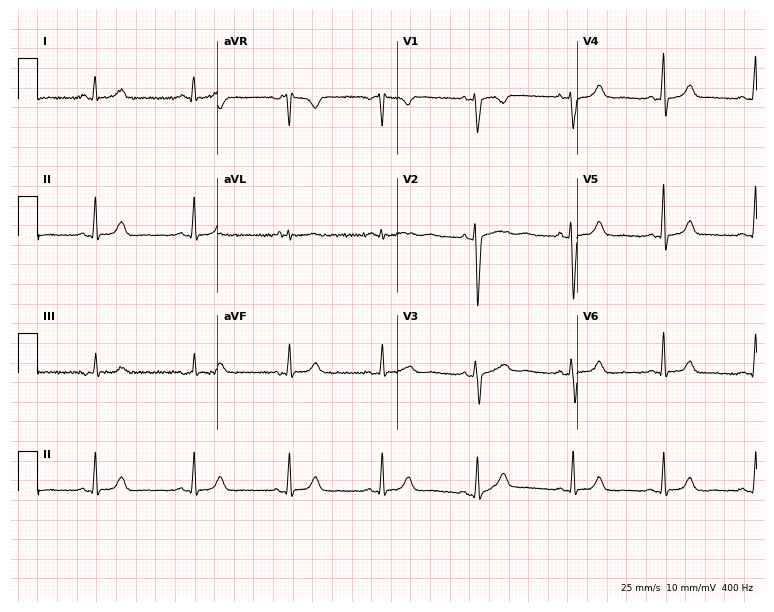
Resting 12-lead electrocardiogram. Patient: a 31-year-old female. None of these six findings is recorded: first-degree AV block, right bundle branch block, left bundle branch block, sinus bradycardia, atrial fibrillation, sinus tachycardia.